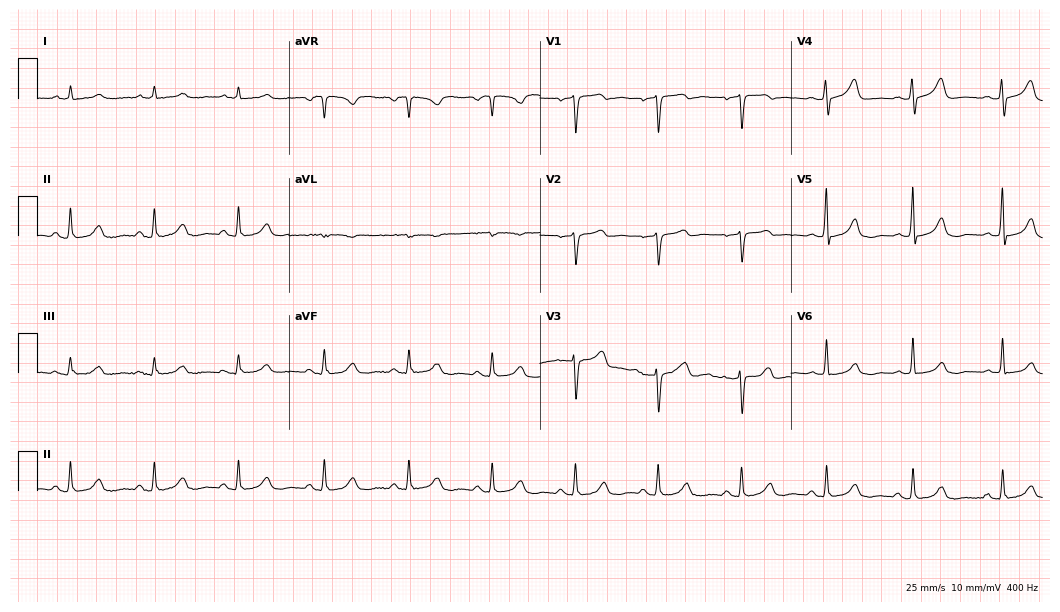
Standard 12-lead ECG recorded from a 62-year-old male. Read as a normal ECG.